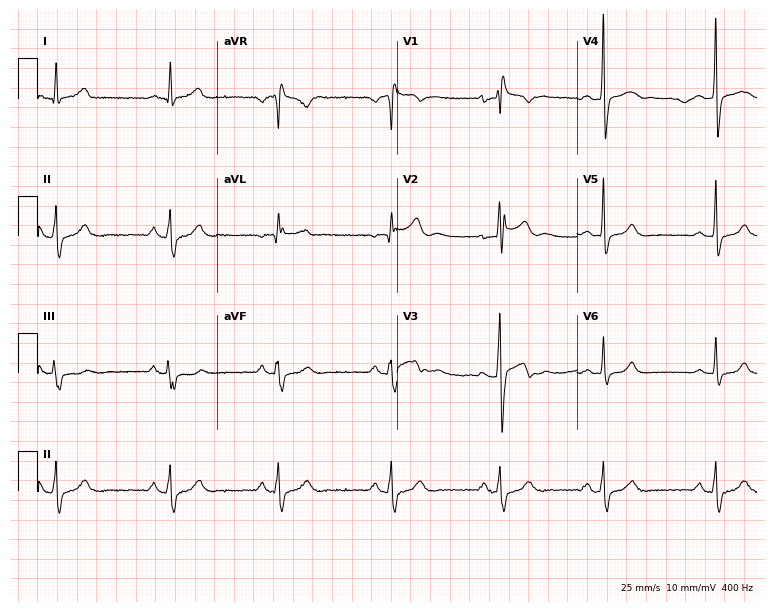
ECG (7.3-second recording at 400 Hz) — a male patient, 29 years old. Findings include right bundle branch block (RBBB).